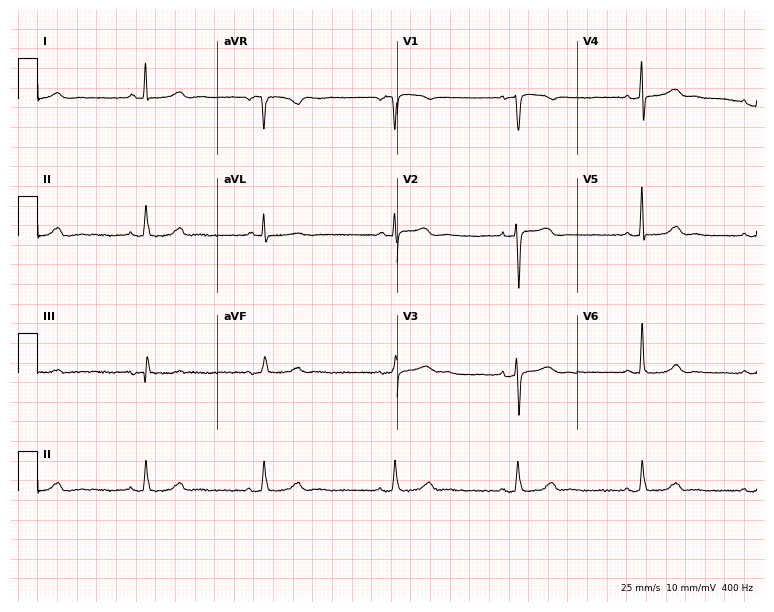
Standard 12-lead ECG recorded from a 44-year-old female patient (7.3-second recording at 400 Hz). None of these six findings is recorded: first-degree AV block, right bundle branch block, left bundle branch block, sinus bradycardia, atrial fibrillation, sinus tachycardia. Findings outside these six are not listed.